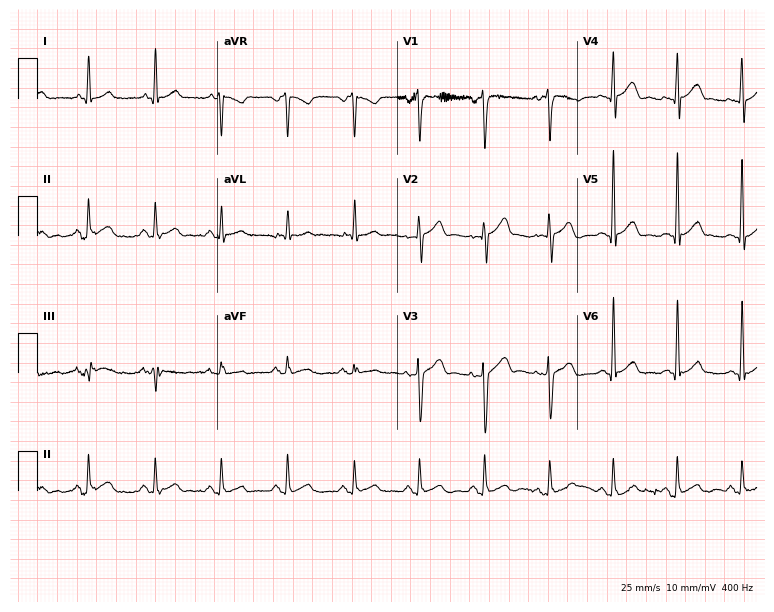
Electrocardiogram (7.3-second recording at 400 Hz), a female, 66 years old. Overall reading on record: normal ECG.